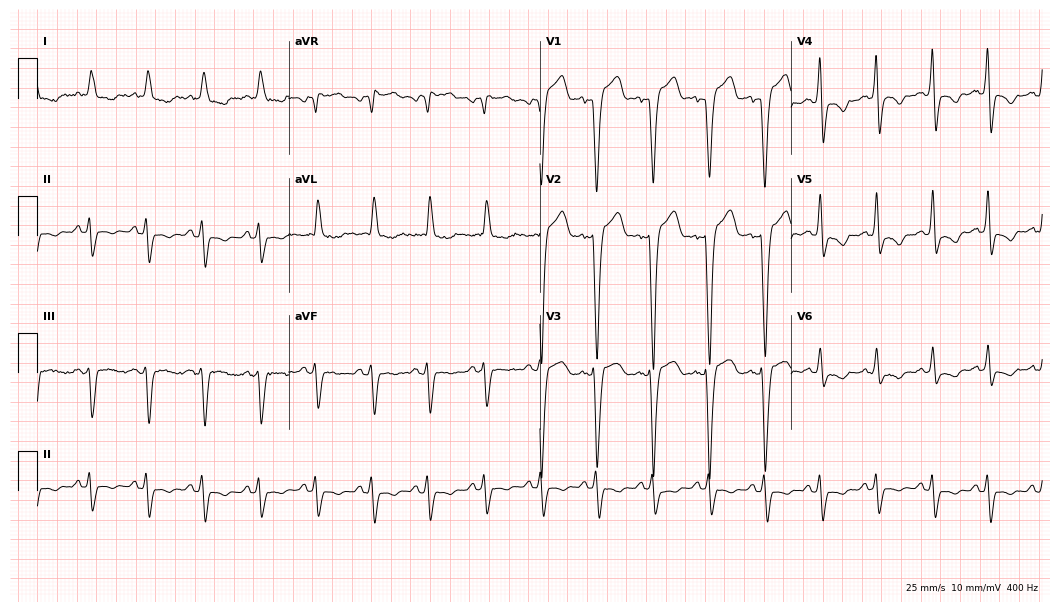
ECG — an 85-year-old man. Screened for six findings — first-degree AV block, right bundle branch block, left bundle branch block, sinus bradycardia, atrial fibrillation, sinus tachycardia — none is recorded.